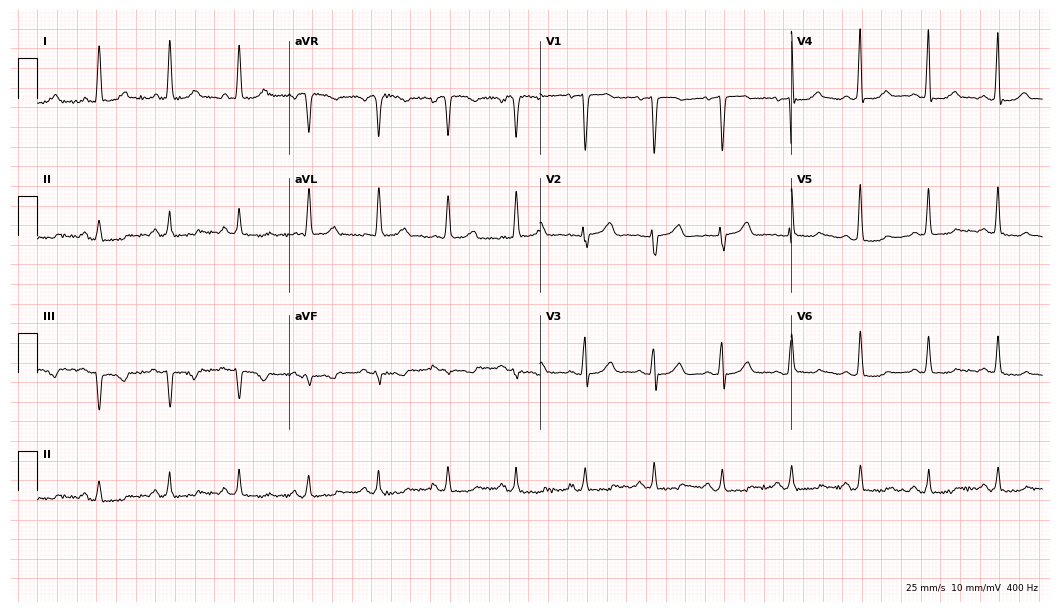
Standard 12-lead ECG recorded from a 73-year-old woman. None of these six findings is recorded: first-degree AV block, right bundle branch block (RBBB), left bundle branch block (LBBB), sinus bradycardia, atrial fibrillation (AF), sinus tachycardia. Other findings, if any, are not listed.